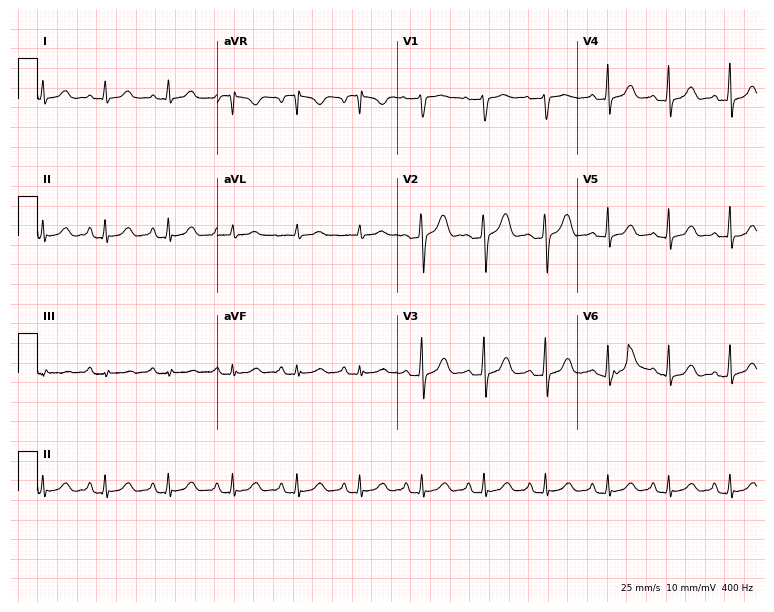
12-lead ECG (7.3-second recording at 400 Hz) from a 42-year-old female patient. Screened for six findings — first-degree AV block, right bundle branch block, left bundle branch block, sinus bradycardia, atrial fibrillation, sinus tachycardia — none is recorded.